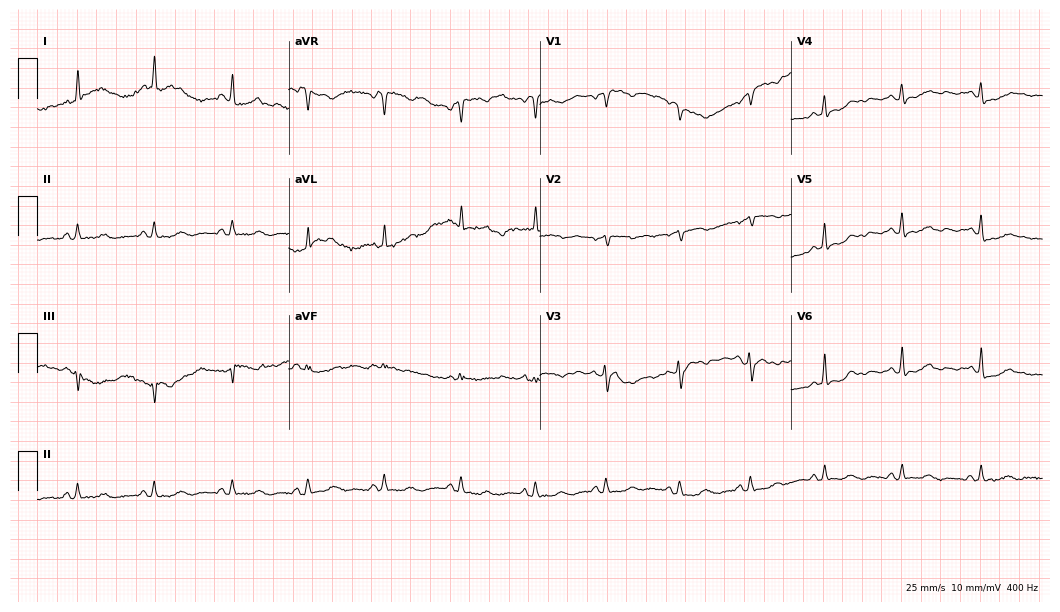
Electrocardiogram (10.2-second recording at 400 Hz), a female, 71 years old. Of the six screened findings (first-degree AV block, right bundle branch block (RBBB), left bundle branch block (LBBB), sinus bradycardia, atrial fibrillation (AF), sinus tachycardia), none is recorded. Other findings, if any, are not listed.